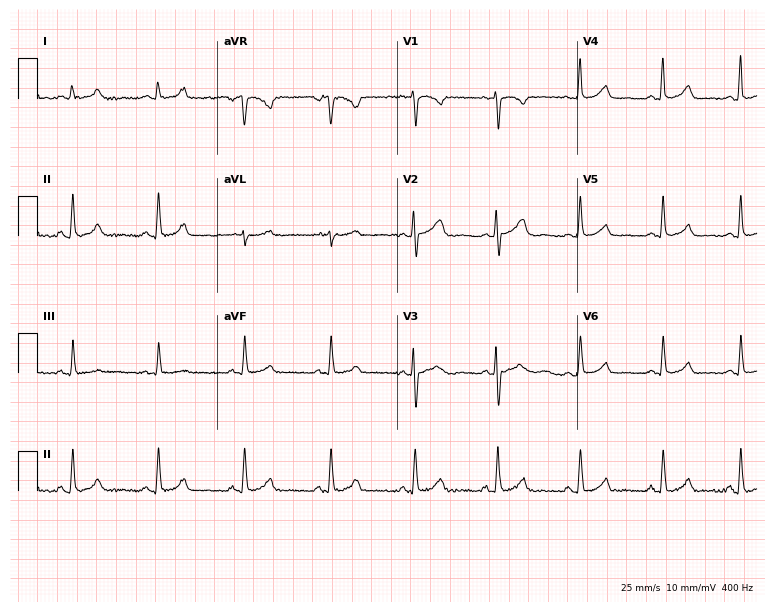
ECG — a 40-year-old female patient. Labelled as a normal ECG.